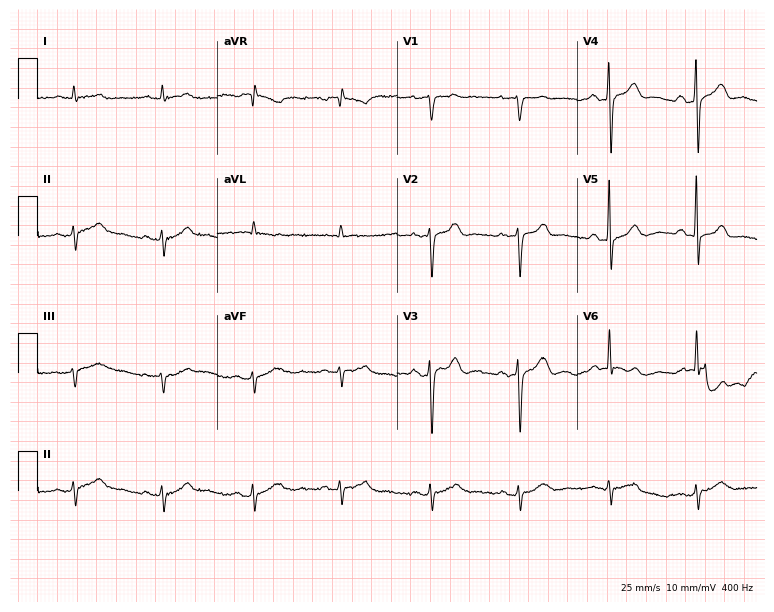
Standard 12-lead ECG recorded from a man, 69 years old. None of these six findings is recorded: first-degree AV block, right bundle branch block (RBBB), left bundle branch block (LBBB), sinus bradycardia, atrial fibrillation (AF), sinus tachycardia.